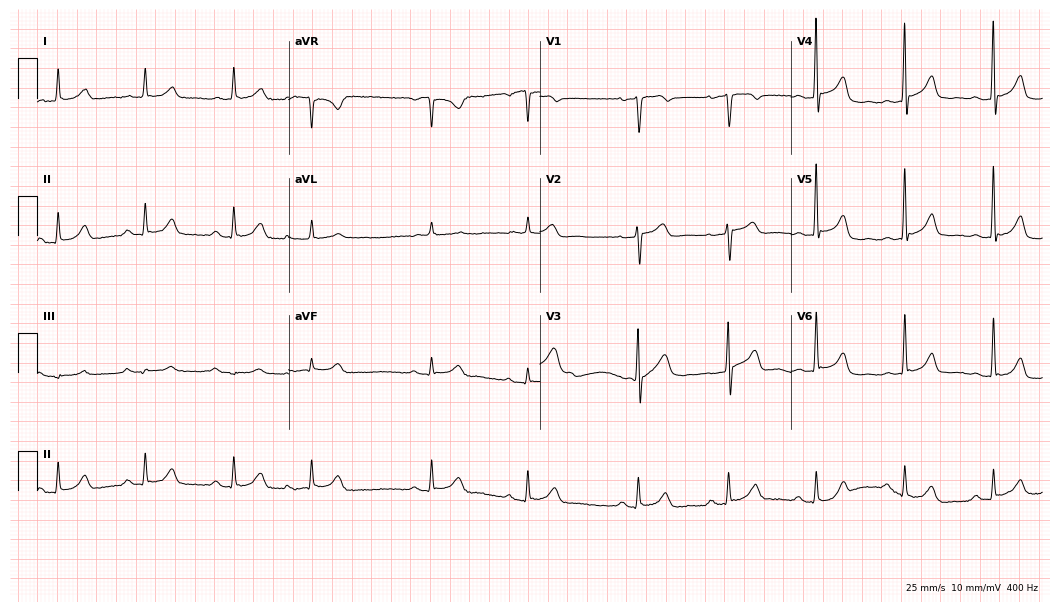
ECG — a 68-year-old male patient. Screened for six findings — first-degree AV block, right bundle branch block, left bundle branch block, sinus bradycardia, atrial fibrillation, sinus tachycardia — none is recorded.